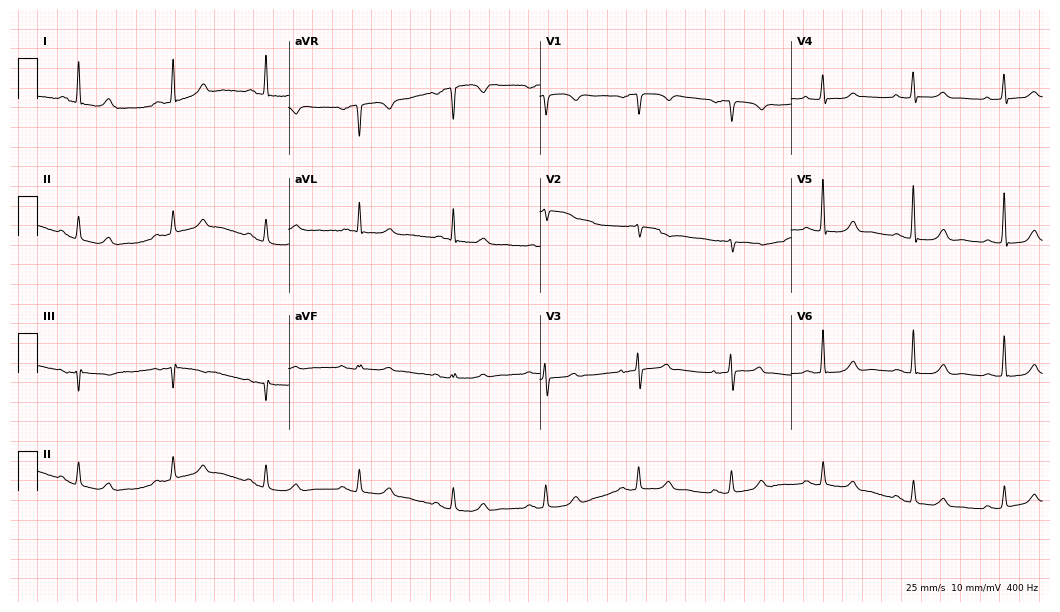
12-lead ECG (10.2-second recording at 400 Hz) from a female patient, 82 years old. Labelled as a normal ECG.